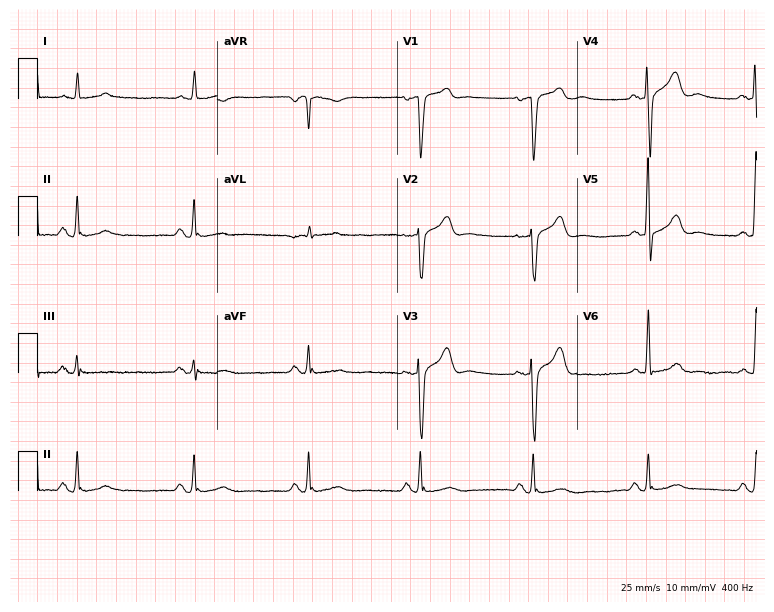
12-lead ECG from an 83-year-old female patient. Screened for six findings — first-degree AV block, right bundle branch block, left bundle branch block, sinus bradycardia, atrial fibrillation, sinus tachycardia — none is recorded. Only these six findings were labelled.